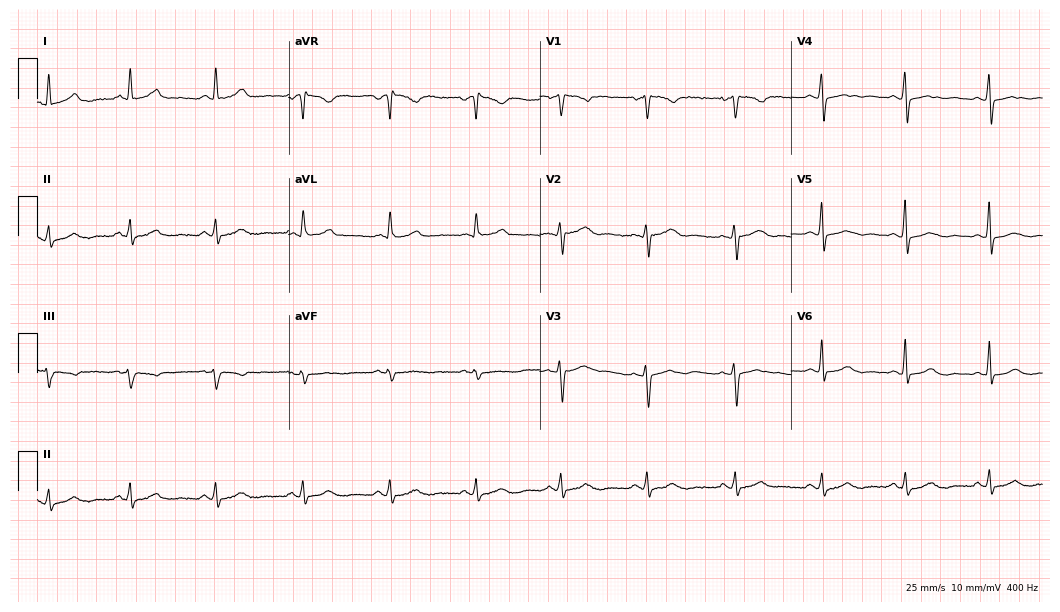
ECG — a woman, 39 years old. Labelled as a normal ECG.